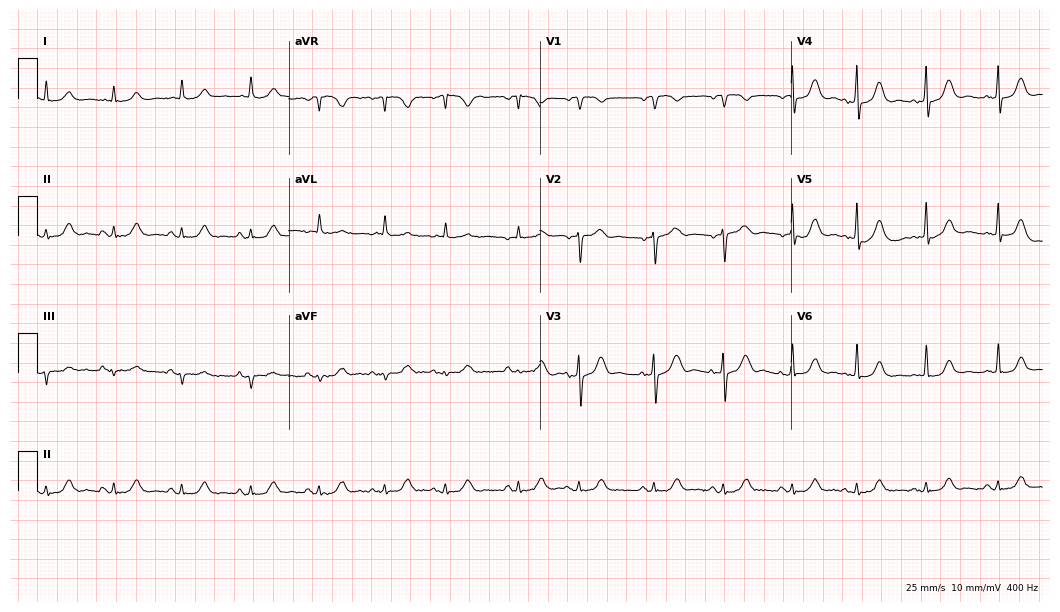
ECG (10.2-second recording at 400 Hz) — a female patient, 80 years old. Labelled as a normal ECG.